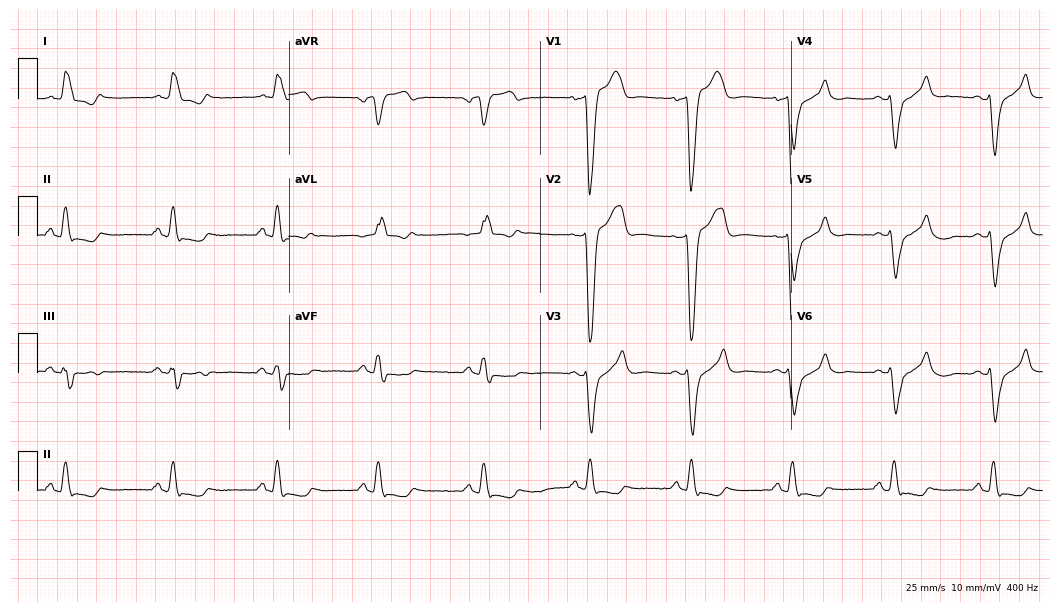
12-lead ECG (10.2-second recording at 400 Hz) from a 59-year-old man. Findings include left bundle branch block.